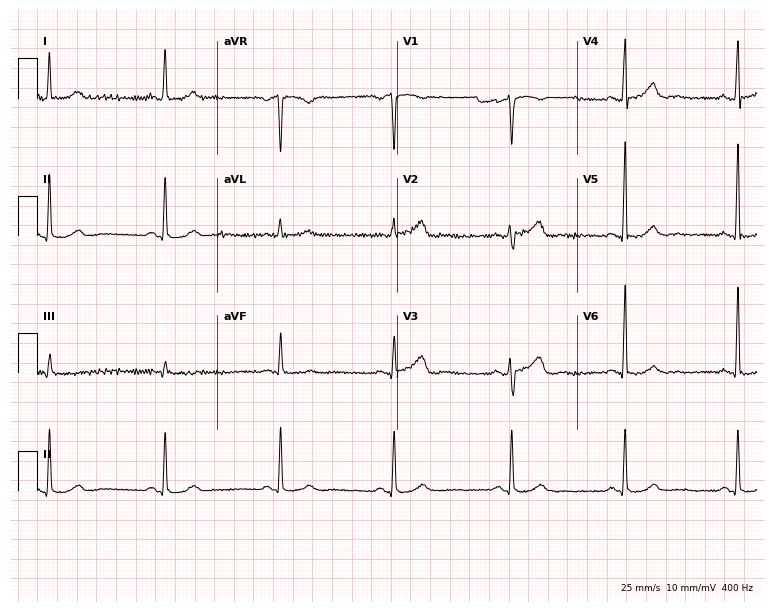
12-lead ECG (7.3-second recording at 400 Hz) from a 57-year-old female. Labelled as a normal ECG.